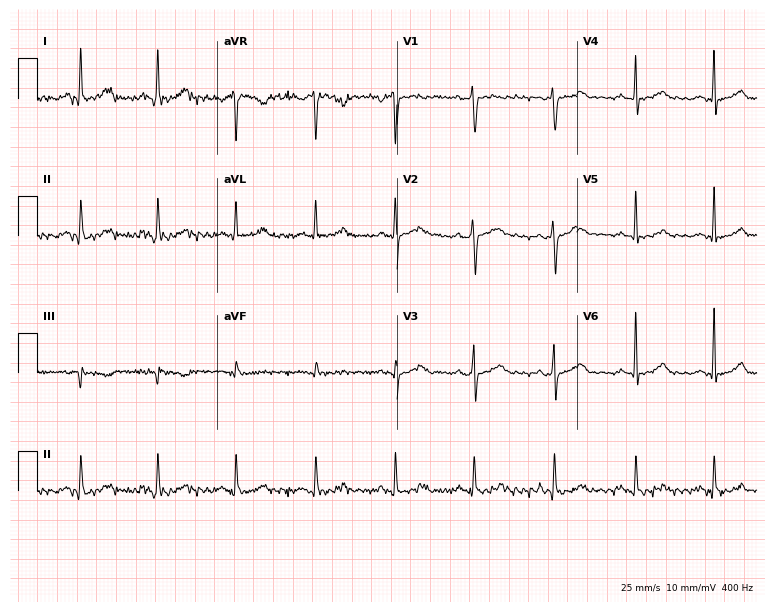
Standard 12-lead ECG recorded from a 40-year-old female patient. None of these six findings is recorded: first-degree AV block, right bundle branch block, left bundle branch block, sinus bradycardia, atrial fibrillation, sinus tachycardia. Only these six findings were labelled.